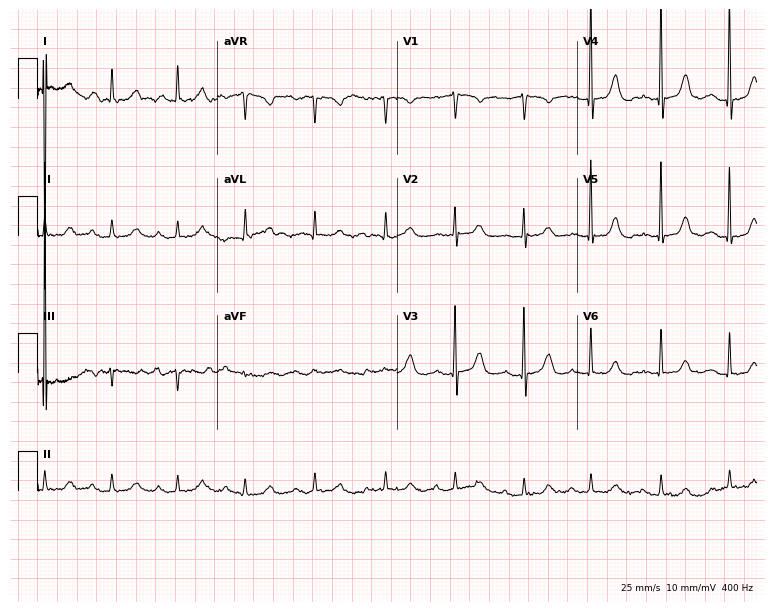
Resting 12-lead electrocardiogram (7.3-second recording at 400 Hz). Patient: a 79-year-old woman. None of these six findings is recorded: first-degree AV block, right bundle branch block, left bundle branch block, sinus bradycardia, atrial fibrillation, sinus tachycardia. Only these six findings were labelled.